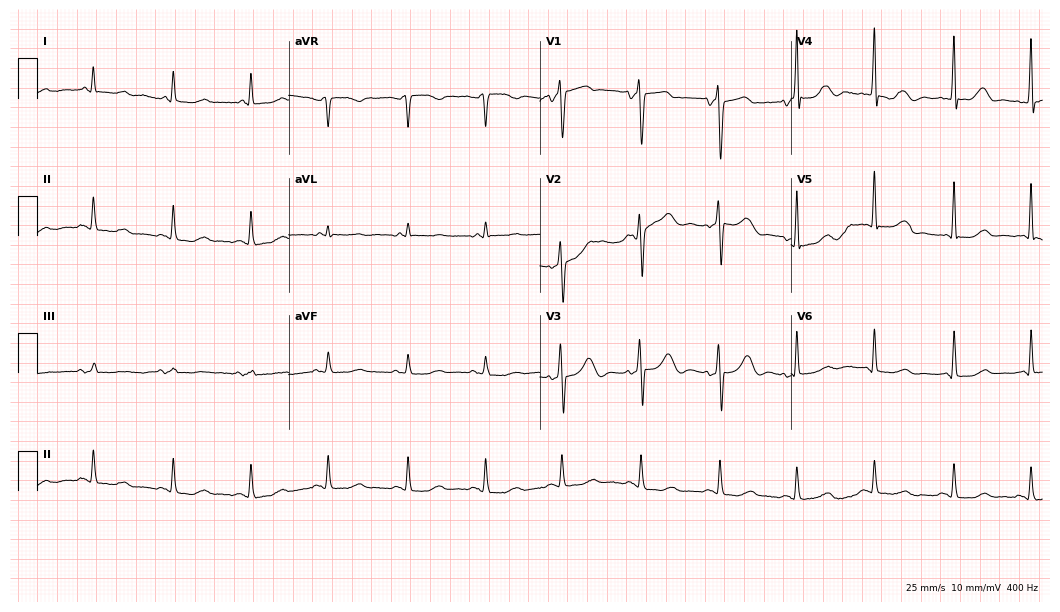
12-lead ECG from a 65-year-old male. Screened for six findings — first-degree AV block, right bundle branch block, left bundle branch block, sinus bradycardia, atrial fibrillation, sinus tachycardia — none is recorded.